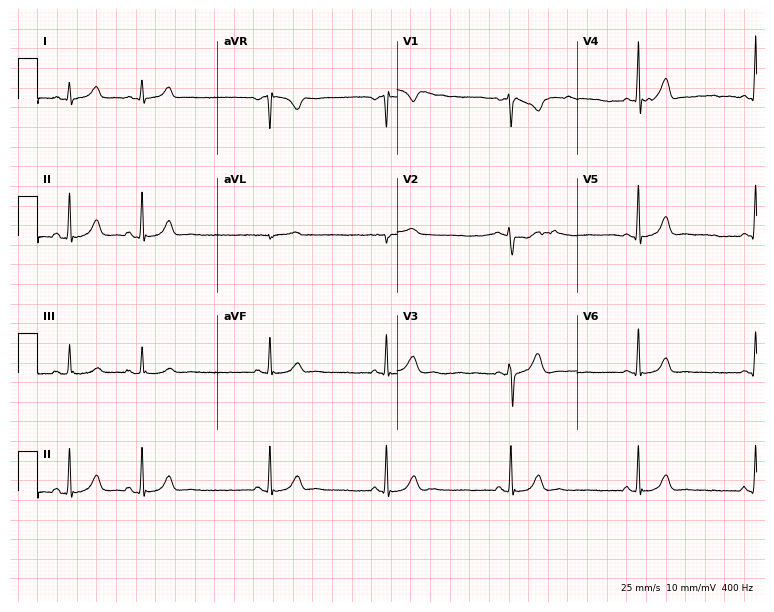
Standard 12-lead ECG recorded from a female patient, 18 years old. None of these six findings is recorded: first-degree AV block, right bundle branch block, left bundle branch block, sinus bradycardia, atrial fibrillation, sinus tachycardia. Only these six findings were labelled.